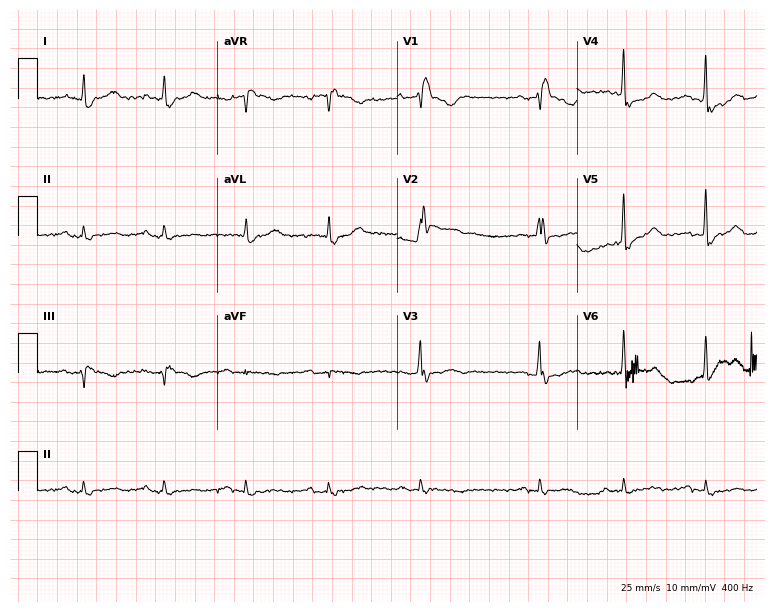
Electrocardiogram, a 77-year-old male patient. Interpretation includes right bundle branch block (RBBB).